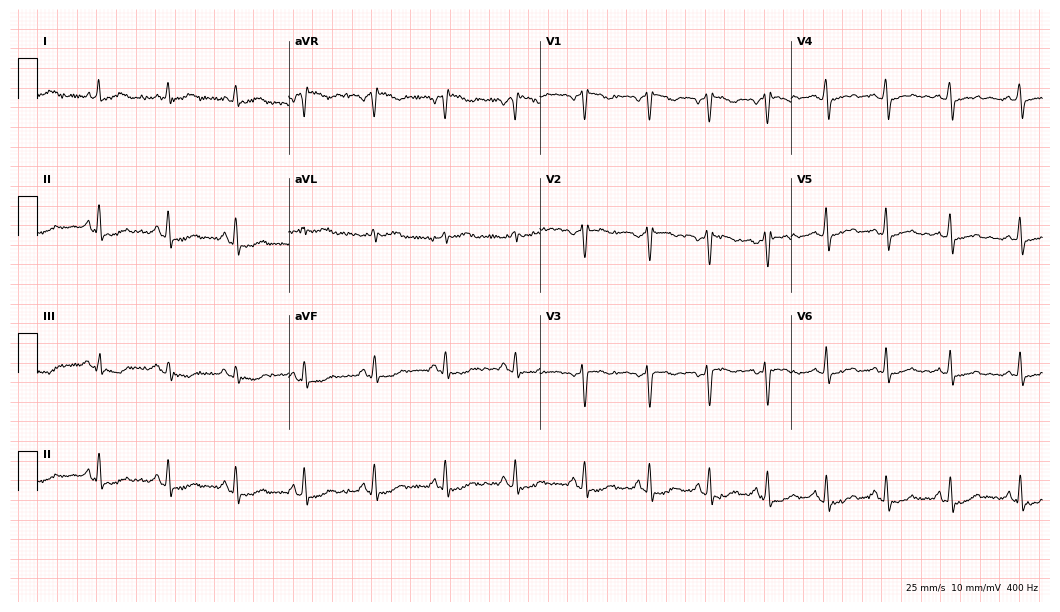
12-lead ECG from a woman, 38 years old. No first-degree AV block, right bundle branch block, left bundle branch block, sinus bradycardia, atrial fibrillation or sinus tachycardia recorded for this tracing.